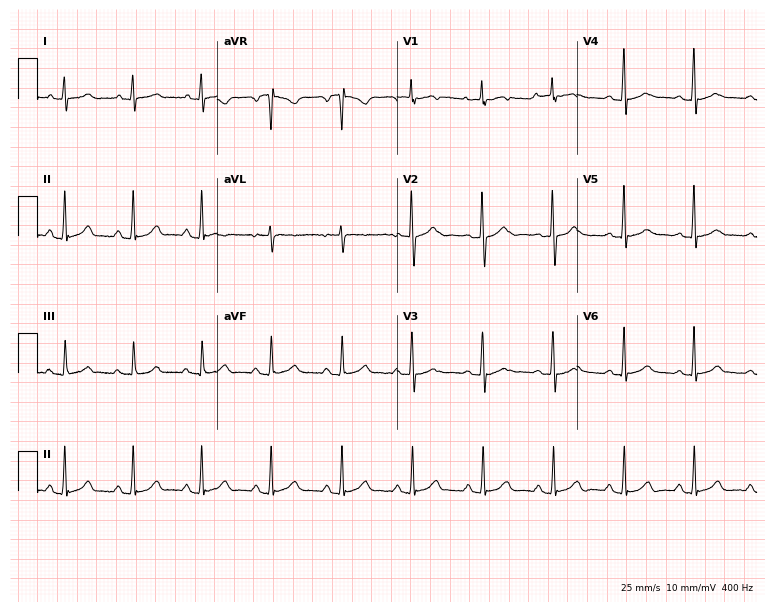
Electrocardiogram, a woman, 49 years old. Of the six screened findings (first-degree AV block, right bundle branch block (RBBB), left bundle branch block (LBBB), sinus bradycardia, atrial fibrillation (AF), sinus tachycardia), none is recorded. Findings outside these six are not listed.